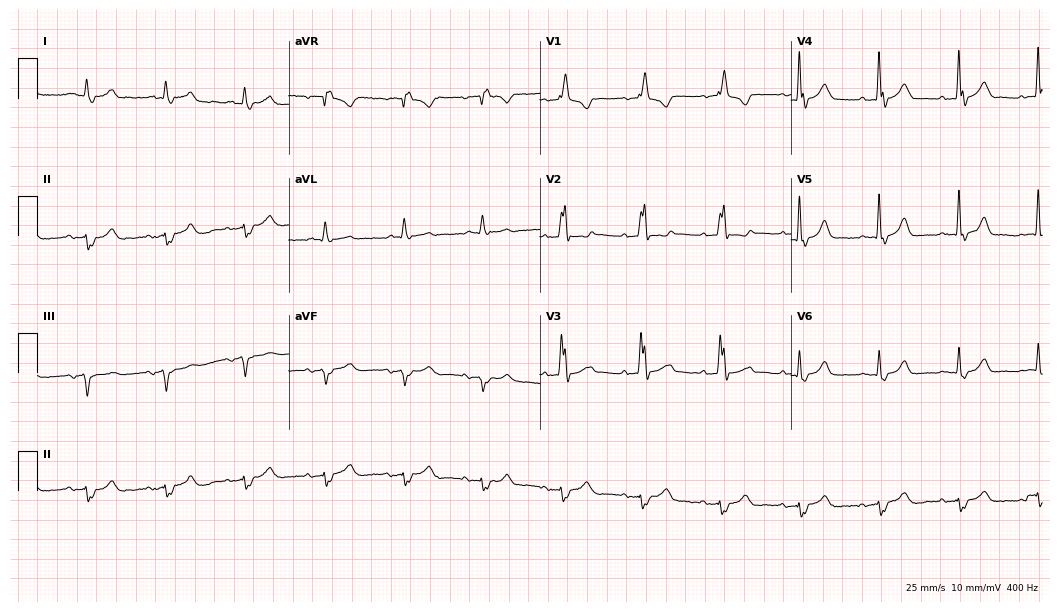
ECG — a man, 84 years old. Findings include right bundle branch block (RBBB).